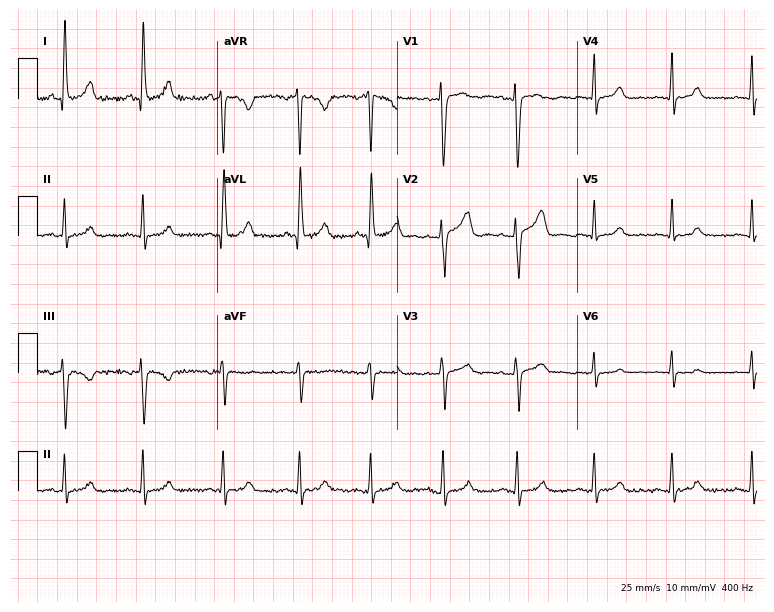
Electrocardiogram, a female patient, 27 years old. Of the six screened findings (first-degree AV block, right bundle branch block, left bundle branch block, sinus bradycardia, atrial fibrillation, sinus tachycardia), none is recorded. Other findings, if any, are not listed.